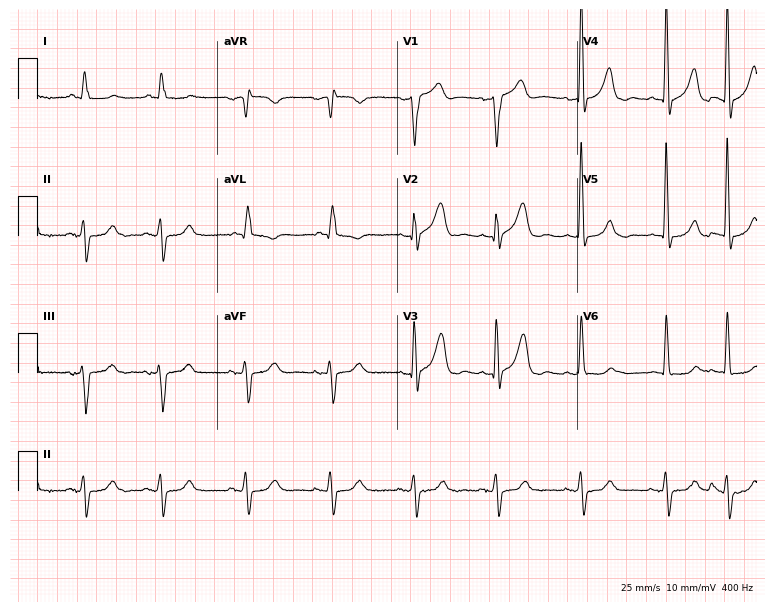
Resting 12-lead electrocardiogram (7.3-second recording at 400 Hz). Patient: a 78-year-old male. None of these six findings is recorded: first-degree AV block, right bundle branch block (RBBB), left bundle branch block (LBBB), sinus bradycardia, atrial fibrillation (AF), sinus tachycardia.